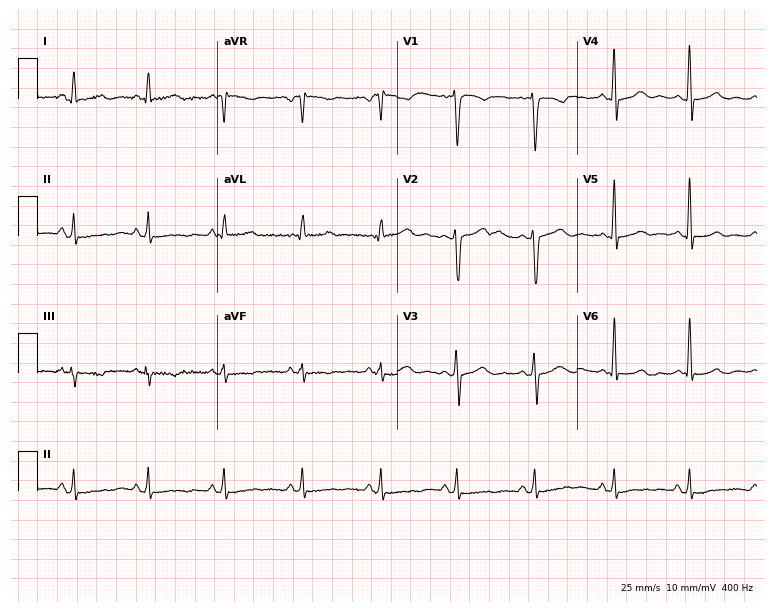
ECG (7.3-second recording at 400 Hz) — a 54-year-old female patient. Screened for six findings — first-degree AV block, right bundle branch block, left bundle branch block, sinus bradycardia, atrial fibrillation, sinus tachycardia — none is recorded.